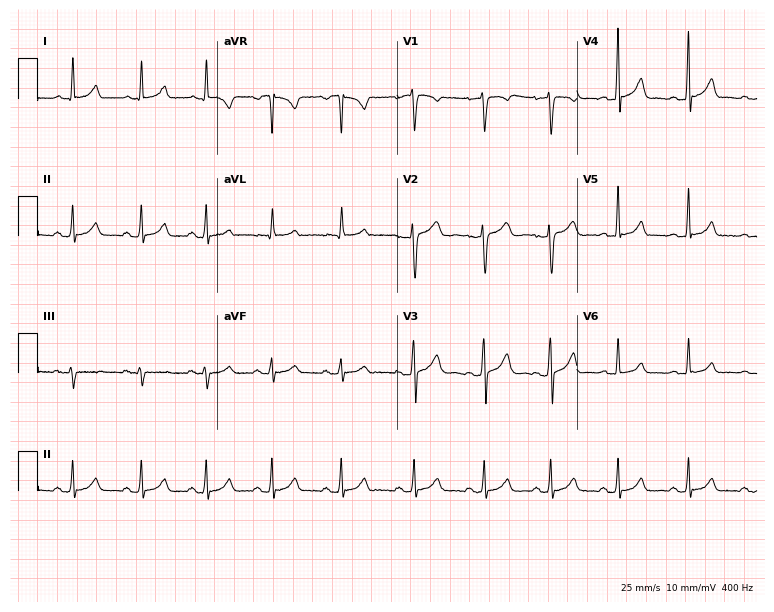
12-lead ECG from a female, 27 years old. Labelled as a normal ECG.